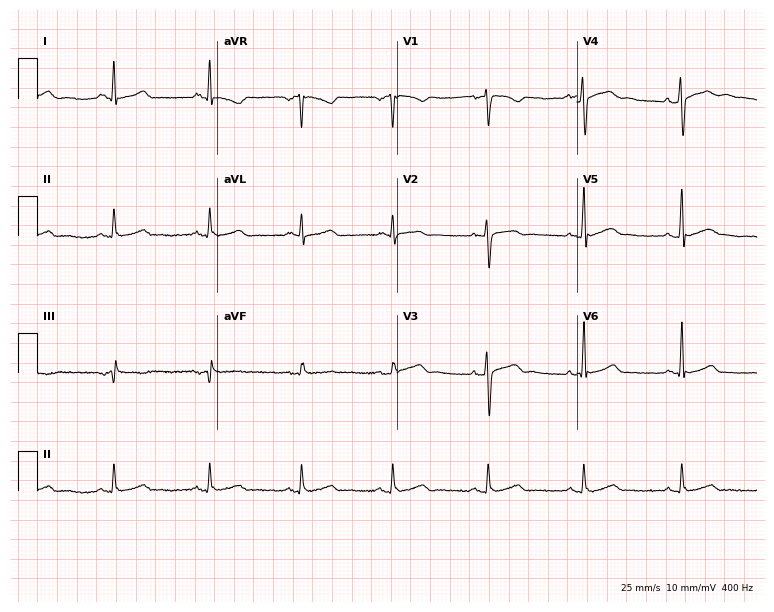
Electrocardiogram, a male patient, 31 years old. Of the six screened findings (first-degree AV block, right bundle branch block, left bundle branch block, sinus bradycardia, atrial fibrillation, sinus tachycardia), none is recorded. Findings outside these six are not listed.